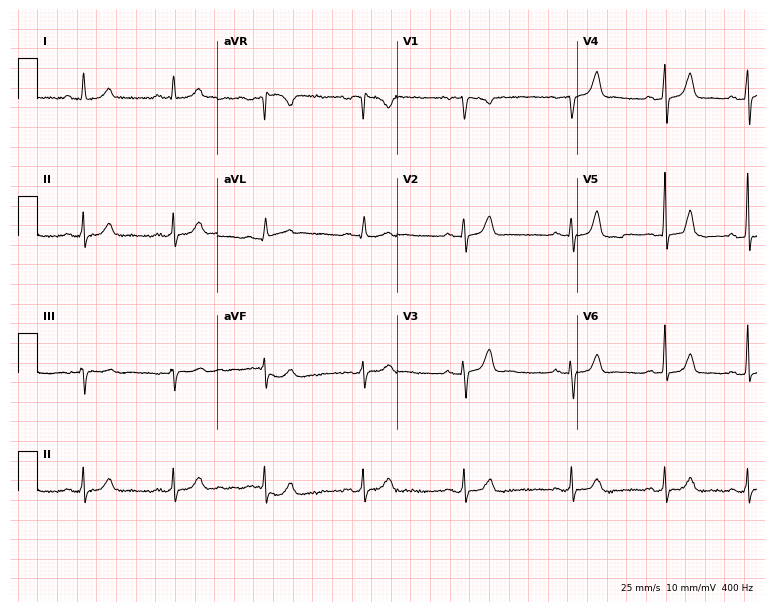
ECG — a woman, 42 years old. Screened for six findings — first-degree AV block, right bundle branch block (RBBB), left bundle branch block (LBBB), sinus bradycardia, atrial fibrillation (AF), sinus tachycardia — none is recorded. Other findings, if any, are not listed.